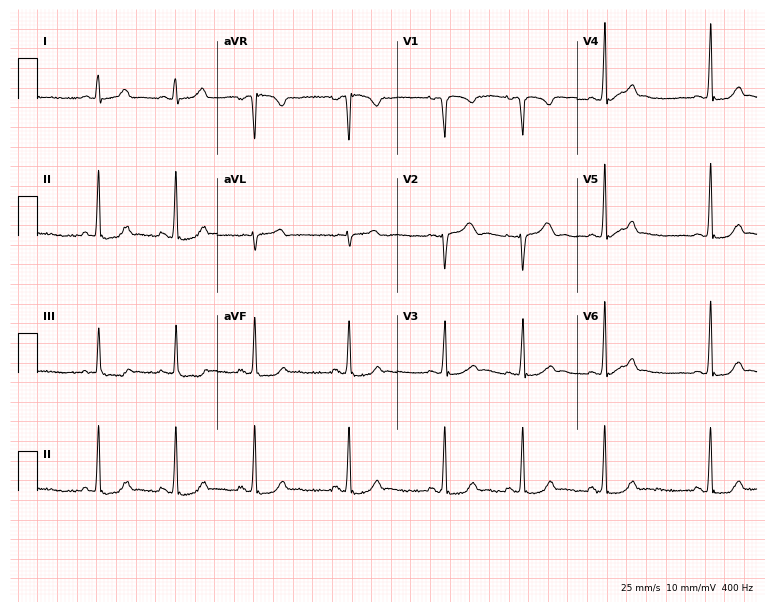
Resting 12-lead electrocardiogram. Patient: a 27-year-old female. None of these six findings is recorded: first-degree AV block, right bundle branch block, left bundle branch block, sinus bradycardia, atrial fibrillation, sinus tachycardia.